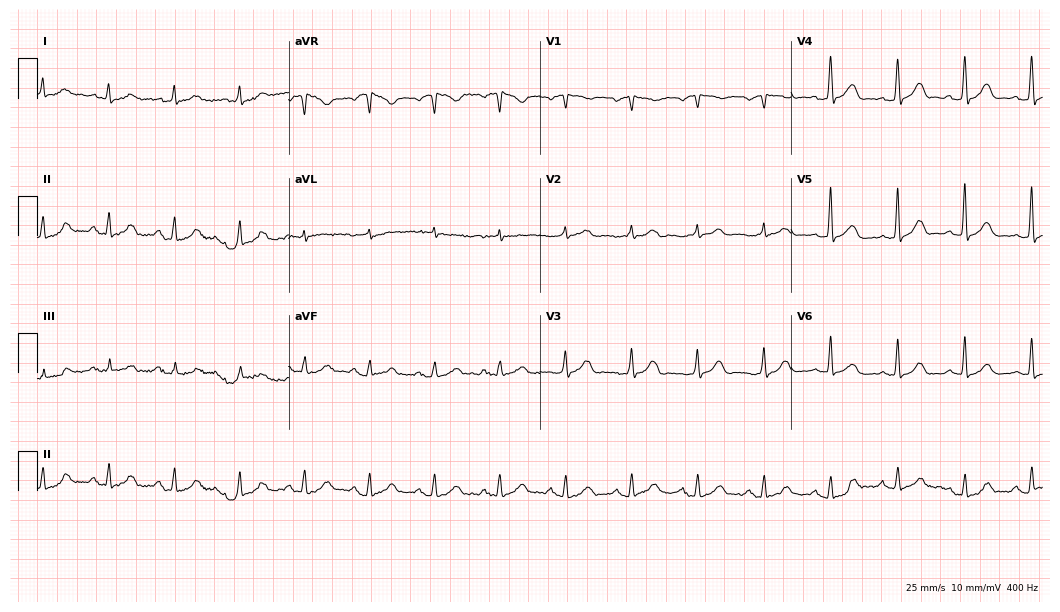
Resting 12-lead electrocardiogram. Patient: a woman, 84 years old. Read as a normal ECG.